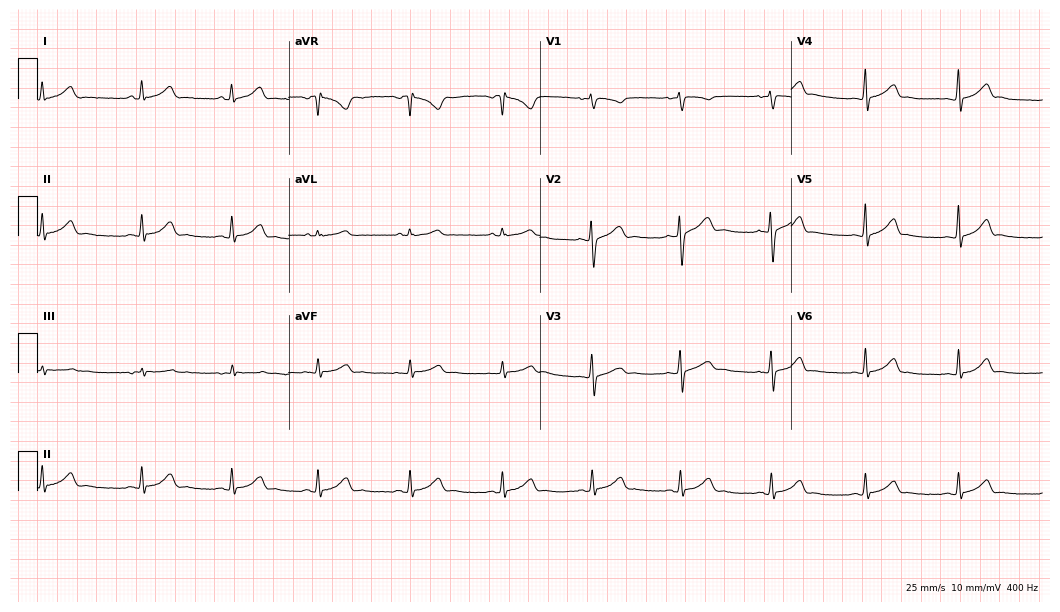
Electrocardiogram, a 21-year-old female patient. Overall reading on record: normal ECG.